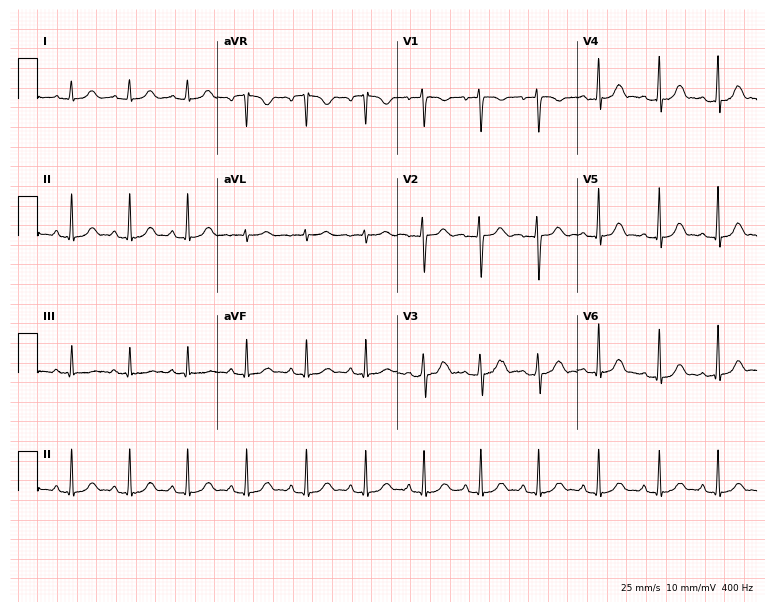
ECG (7.3-second recording at 400 Hz) — a female patient, 28 years old. Screened for six findings — first-degree AV block, right bundle branch block (RBBB), left bundle branch block (LBBB), sinus bradycardia, atrial fibrillation (AF), sinus tachycardia — none is recorded. Only these six findings were labelled.